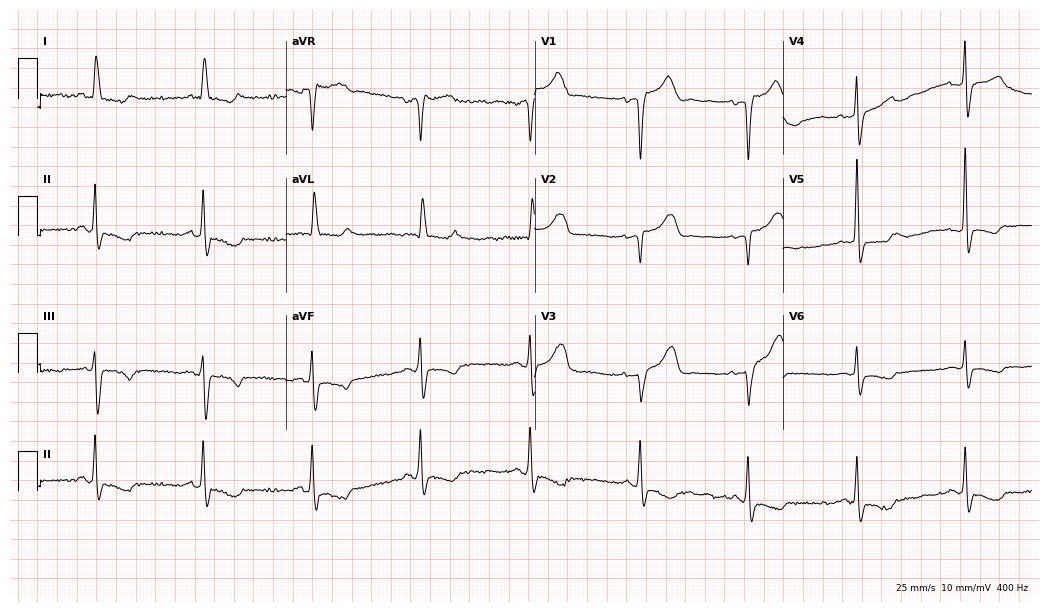
ECG — a 63-year-old male patient. Screened for six findings — first-degree AV block, right bundle branch block (RBBB), left bundle branch block (LBBB), sinus bradycardia, atrial fibrillation (AF), sinus tachycardia — none is recorded.